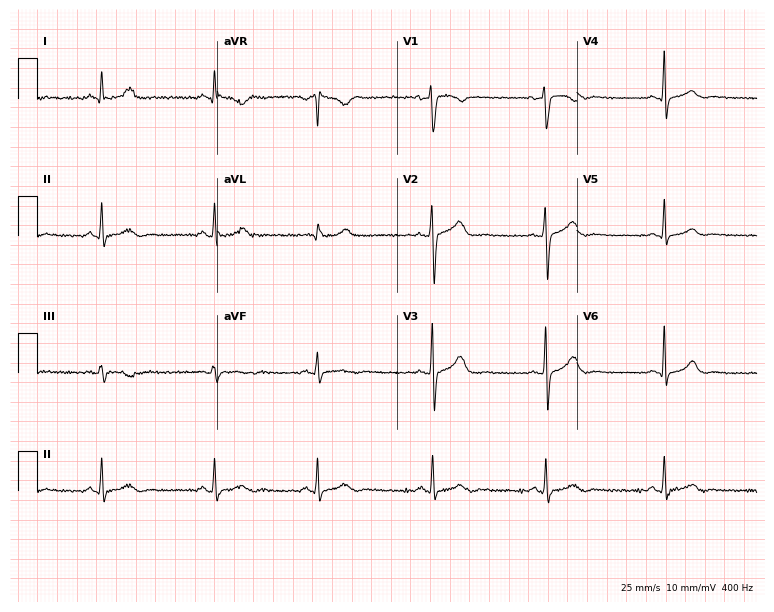
ECG — a female patient, 47 years old. Screened for six findings — first-degree AV block, right bundle branch block, left bundle branch block, sinus bradycardia, atrial fibrillation, sinus tachycardia — none is recorded.